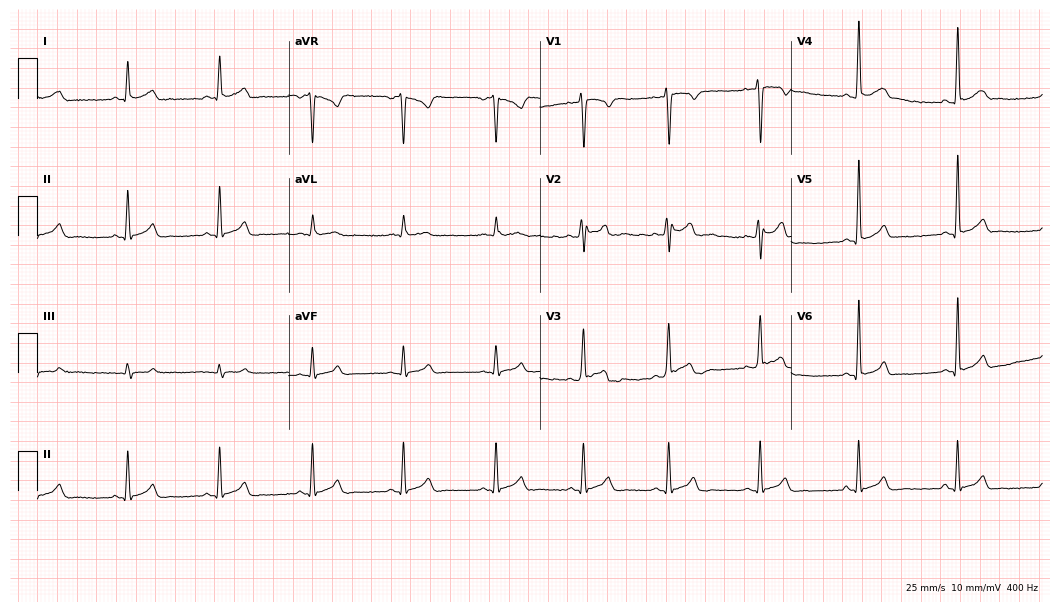
Electrocardiogram, a 20-year-old man. Overall reading on record: normal ECG.